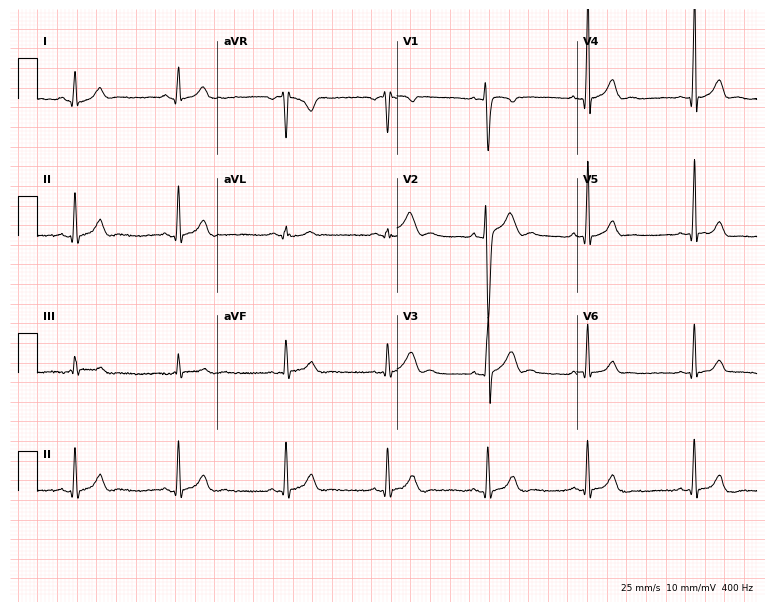
Electrocardiogram, a man, 17 years old. Overall reading on record: normal ECG.